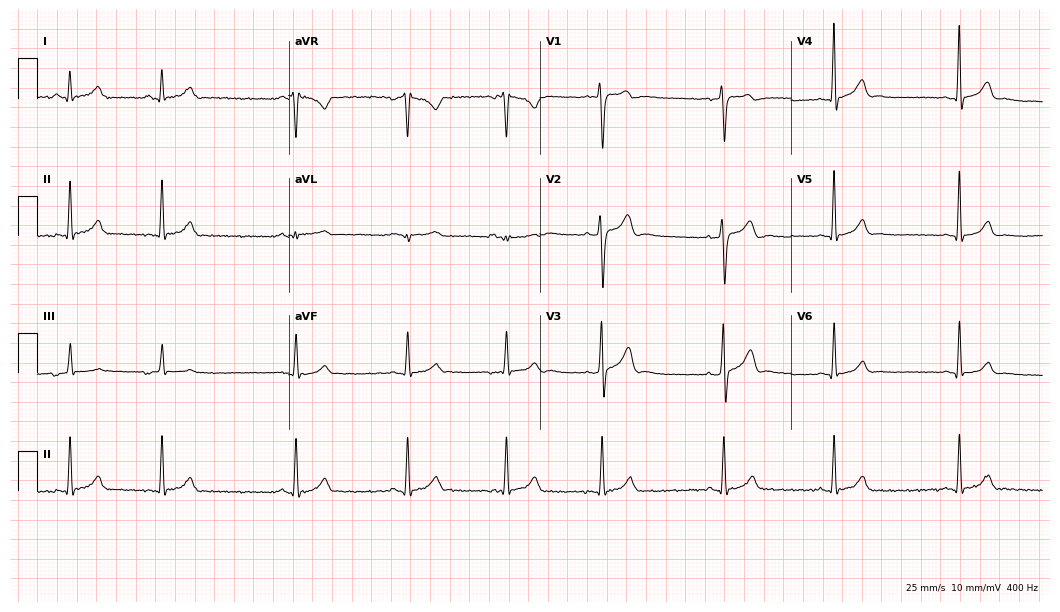
12-lead ECG from a 19-year-old man (10.2-second recording at 400 Hz). Recorded interpretation: within normal limits.